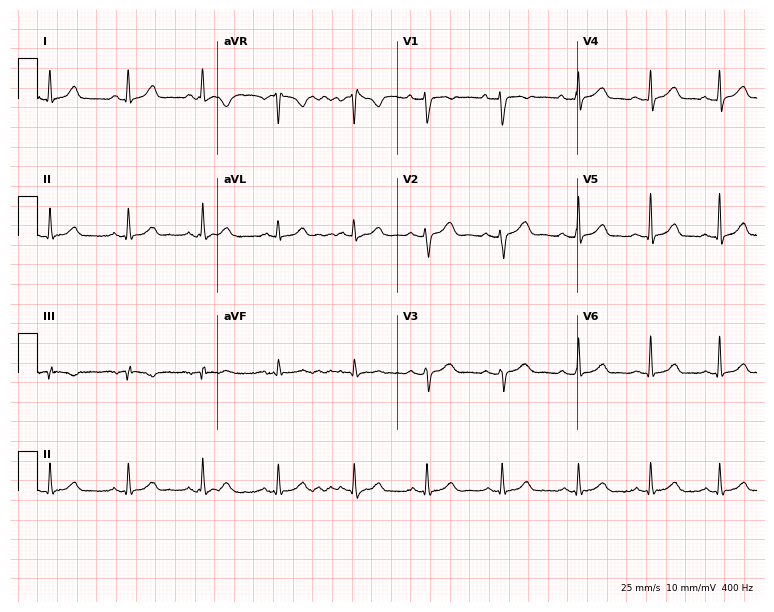
12-lead ECG from a 33-year-old female patient (7.3-second recording at 400 Hz). Recorded interpretation: within normal limits.